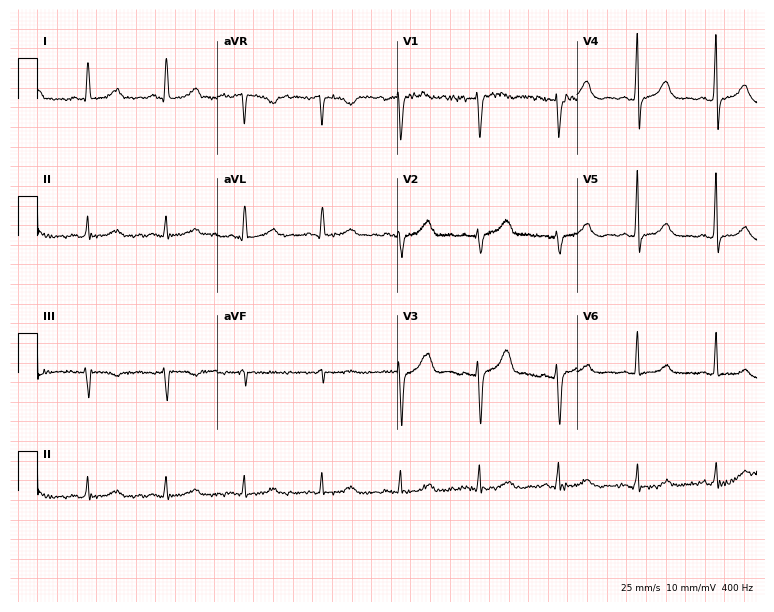
12-lead ECG (7.3-second recording at 400 Hz) from a woman, 59 years old. Labelled as a normal ECG.